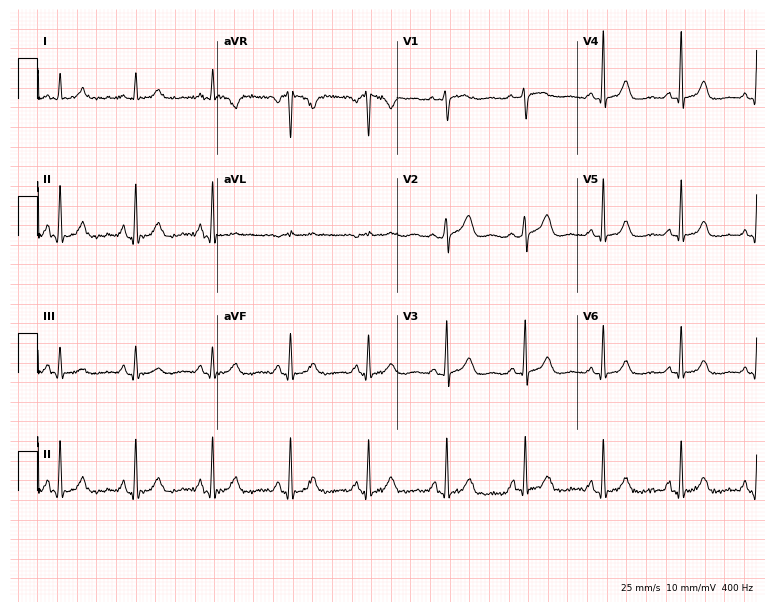
Standard 12-lead ECG recorded from a 57-year-old woman (7.3-second recording at 400 Hz). None of these six findings is recorded: first-degree AV block, right bundle branch block, left bundle branch block, sinus bradycardia, atrial fibrillation, sinus tachycardia. Only these six findings were labelled.